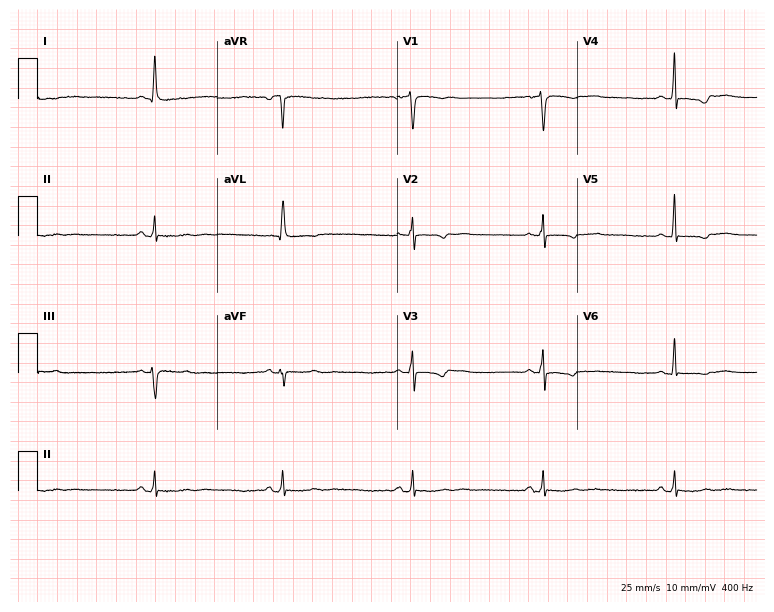
12-lead ECG from a 71-year-old female (7.3-second recording at 400 Hz). No first-degree AV block, right bundle branch block, left bundle branch block, sinus bradycardia, atrial fibrillation or sinus tachycardia recorded for this tracing.